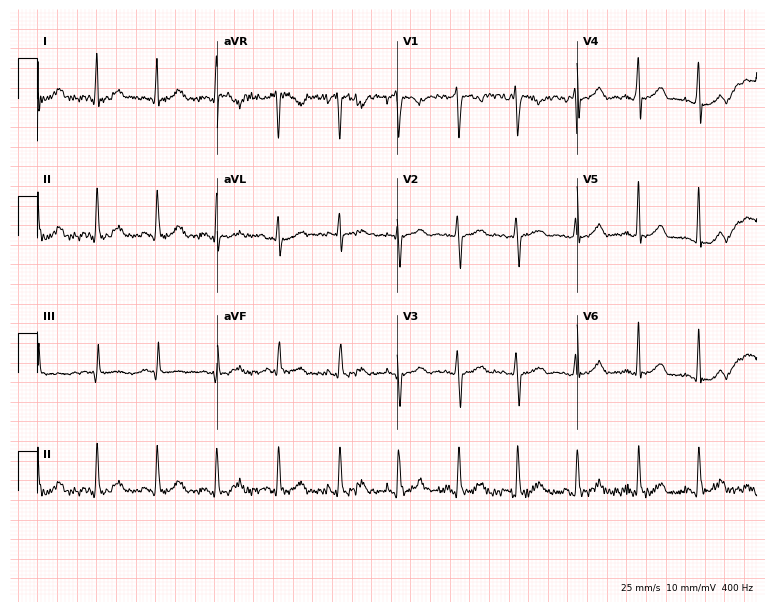
12-lead ECG (7.3-second recording at 400 Hz) from a 33-year-old female patient. Screened for six findings — first-degree AV block, right bundle branch block, left bundle branch block, sinus bradycardia, atrial fibrillation, sinus tachycardia — none is recorded.